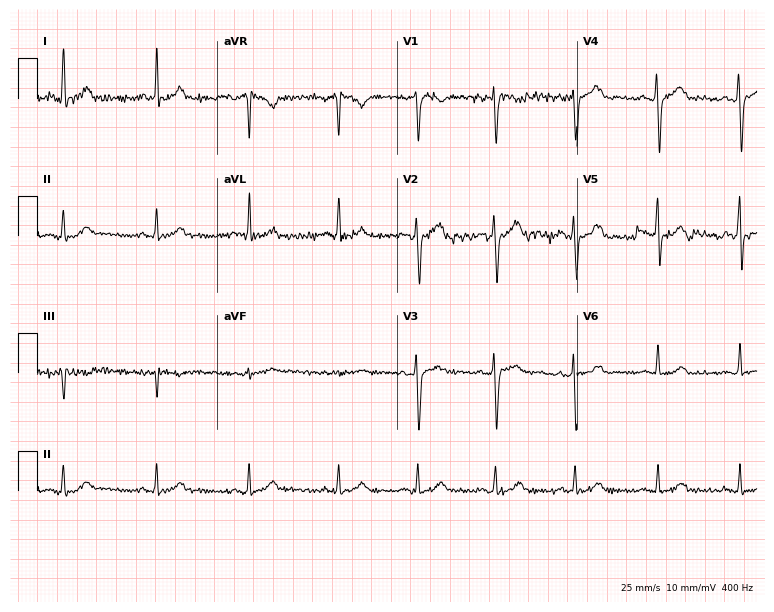
Electrocardiogram, a male, 29 years old. Of the six screened findings (first-degree AV block, right bundle branch block, left bundle branch block, sinus bradycardia, atrial fibrillation, sinus tachycardia), none is recorded. Other findings, if any, are not listed.